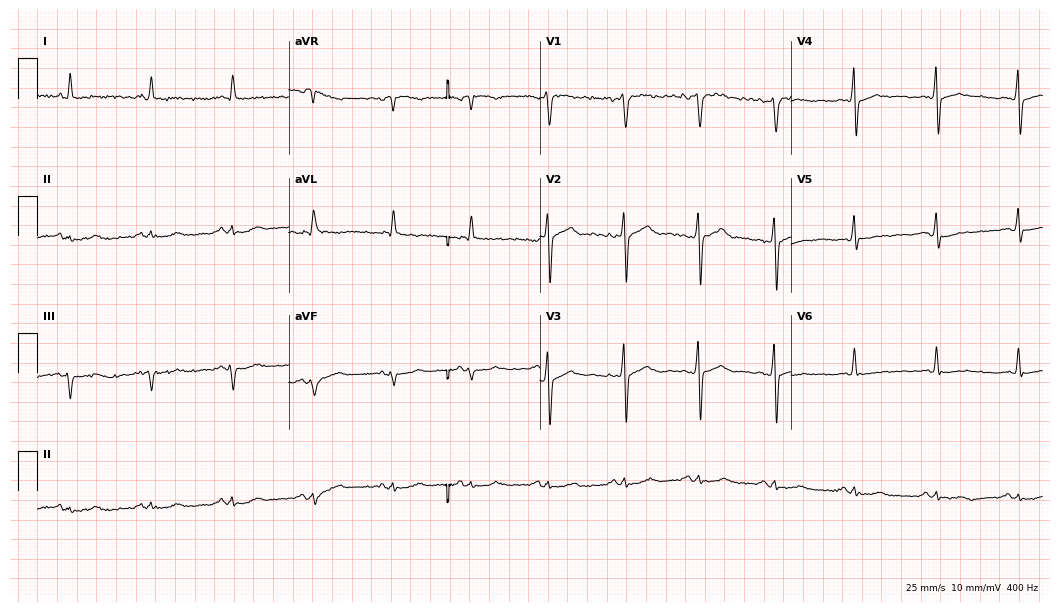
12-lead ECG from a 46-year-old male patient. Screened for six findings — first-degree AV block, right bundle branch block (RBBB), left bundle branch block (LBBB), sinus bradycardia, atrial fibrillation (AF), sinus tachycardia — none is recorded. Only these six findings were labelled.